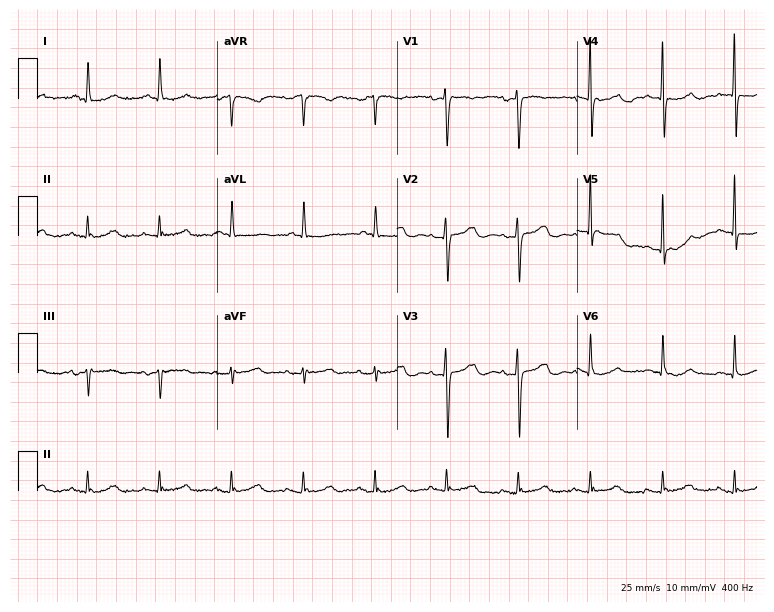
Electrocardiogram, an 83-year-old woman. Overall reading on record: normal ECG.